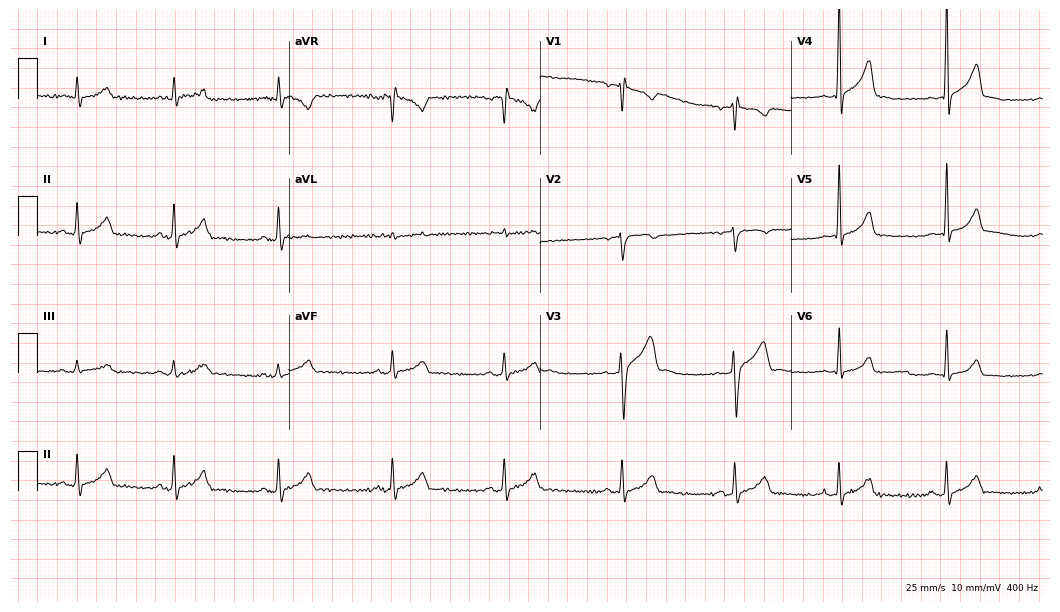
12-lead ECG from a man, 23 years old (10.2-second recording at 400 Hz). Recorded interpretation: within normal limits.